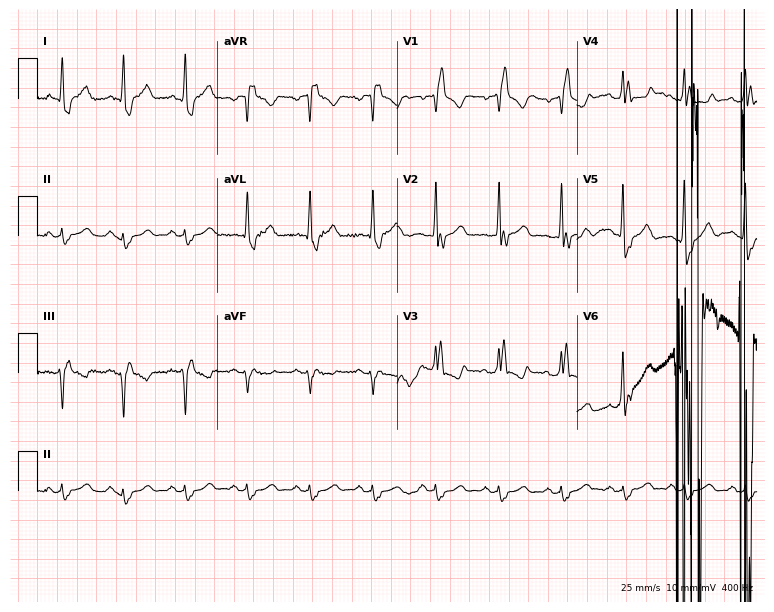
Standard 12-lead ECG recorded from a man, 85 years old (7.3-second recording at 400 Hz). The tracing shows right bundle branch block.